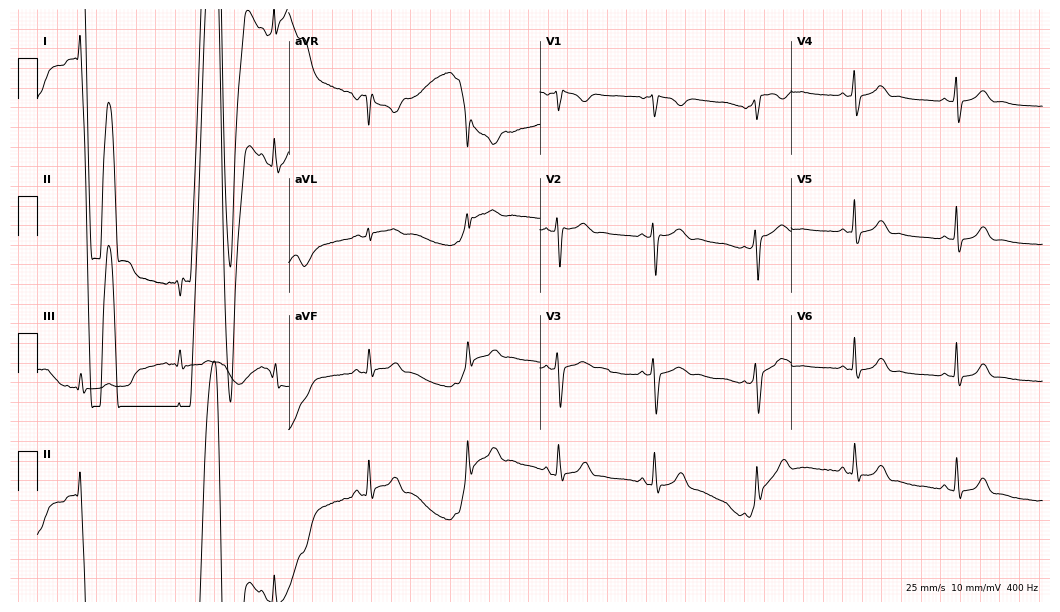
Resting 12-lead electrocardiogram. Patient: a woman, 29 years old. None of these six findings is recorded: first-degree AV block, right bundle branch block, left bundle branch block, sinus bradycardia, atrial fibrillation, sinus tachycardia. Other findings, if any, are not listed.